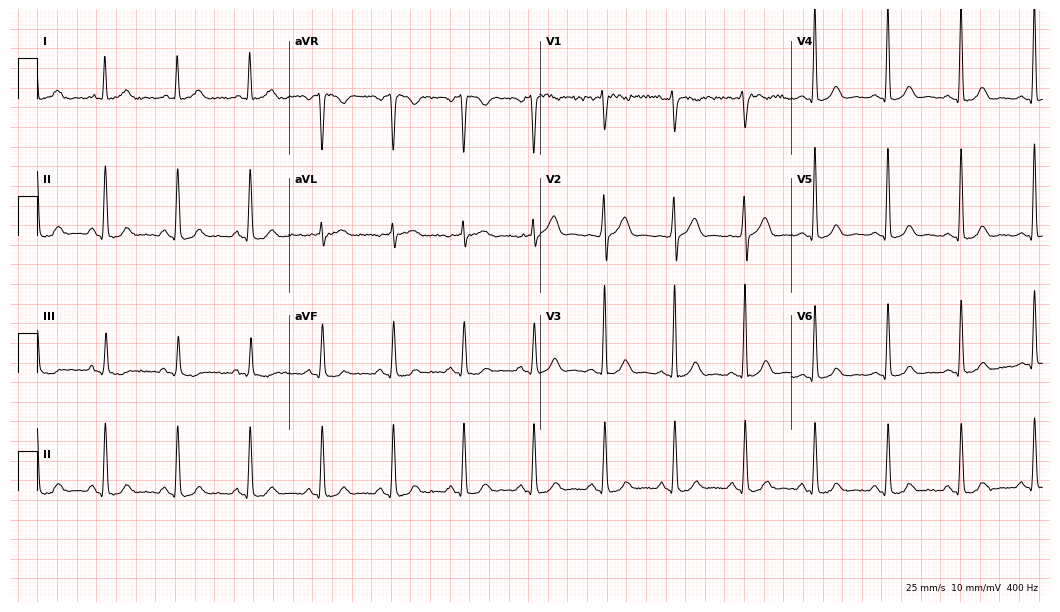
Standard 12-lead ECG recorded from a man, 50 years old (10.2-second recording at 400 Hz). Read as a normal ECG.